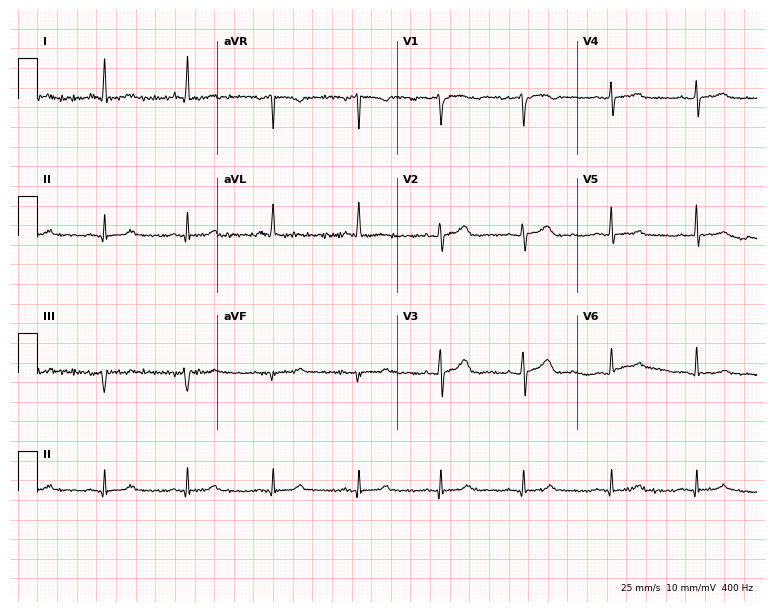
Standard 12-lead ECG recorded from a 58-year-old female patient (7.3-second recording at 400 Hz). Read as a normal ECG.